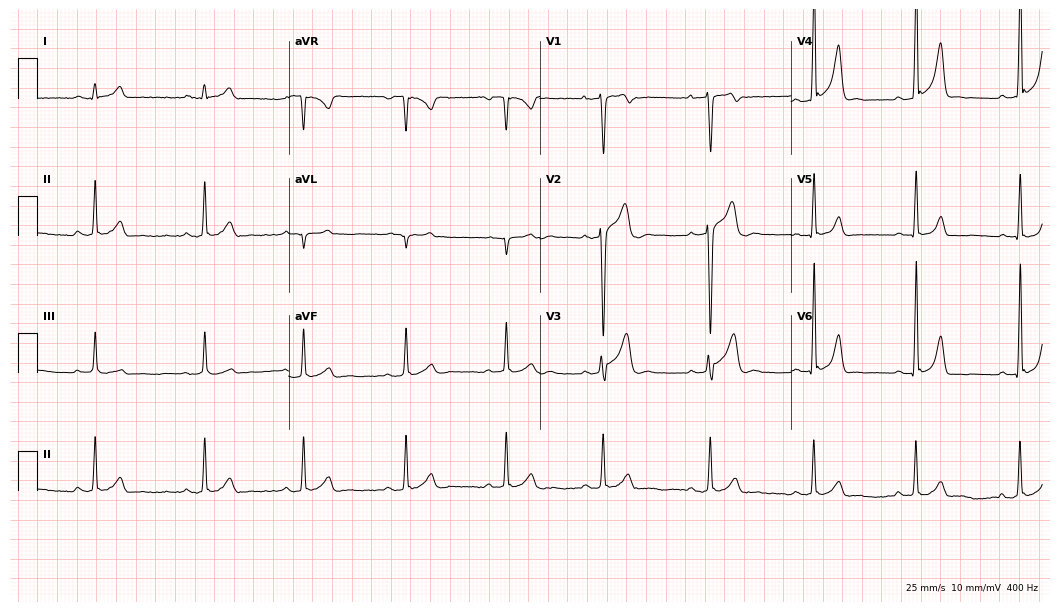
12-lead ECG from a male patient, 22 years old. No first-degree AV block, right bundle branch block, left bundle branch block, sinus bradycardia, atrial fibrillation or sinus tachycardia recorded for this tracing. Findings outside these six are not listed.